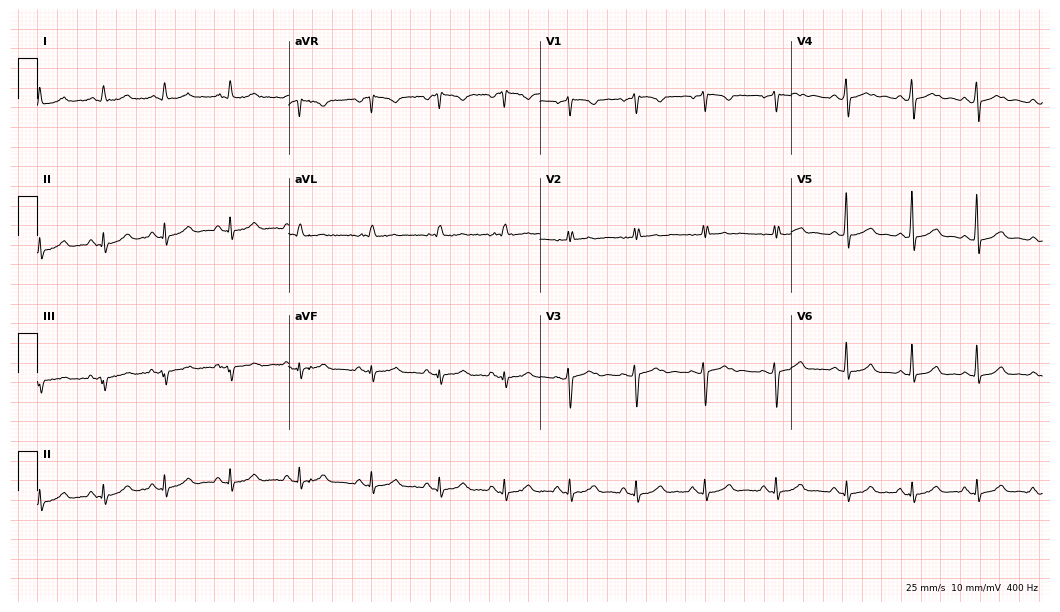
12-lead ECG from a female, 41 years old. Recorded interpretation: within normal limits.